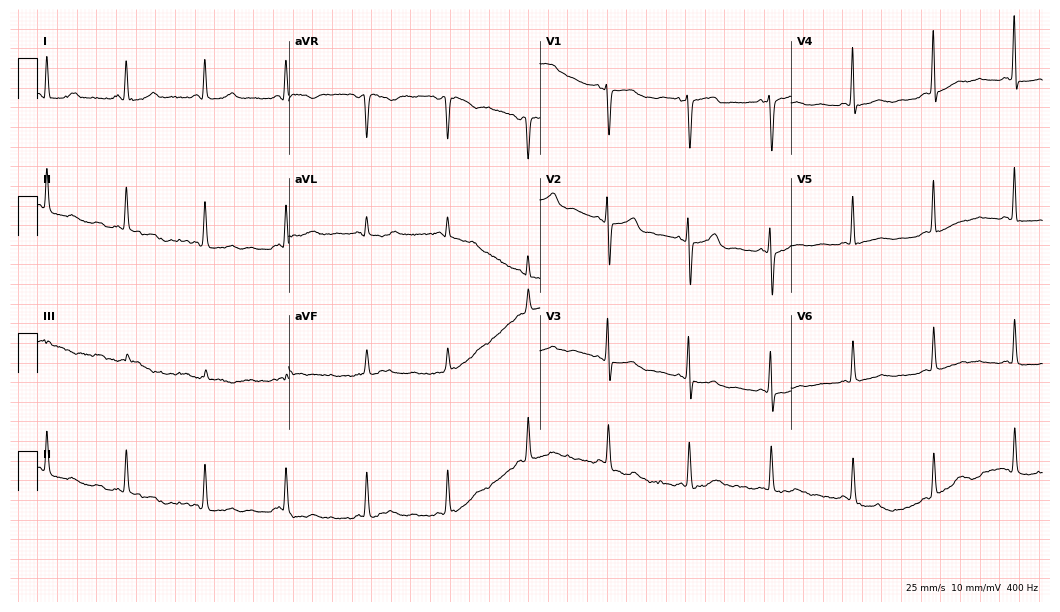
Standard 12-lead ECG recorded from a female patient, 54 years old. Read as a normal ECG.